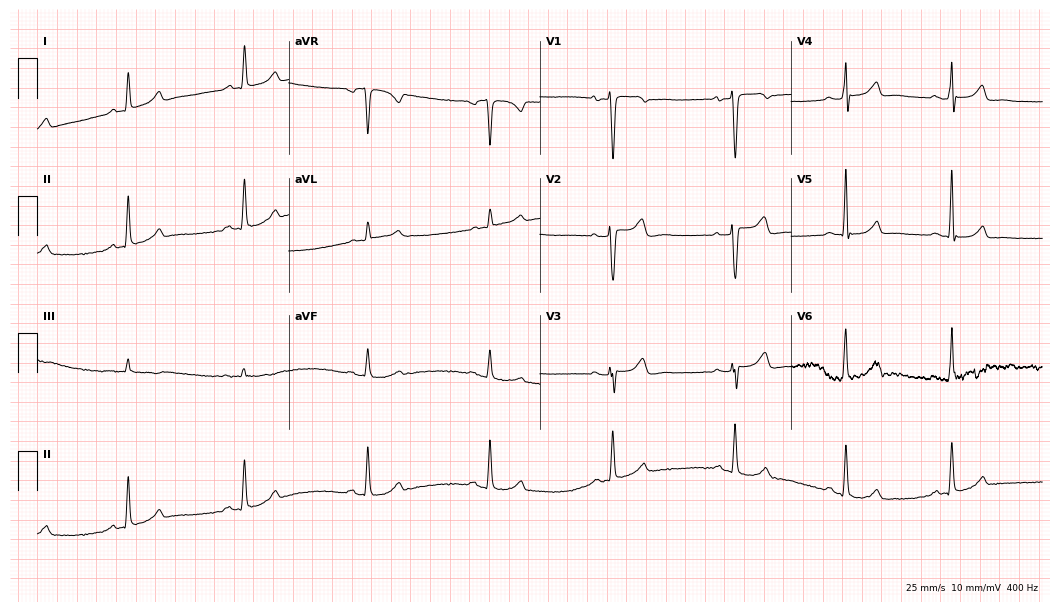
12-lead ECG (10.2-second recording at 400 Hz) from a woman, 41 years old. Labelled as a normal ECG.